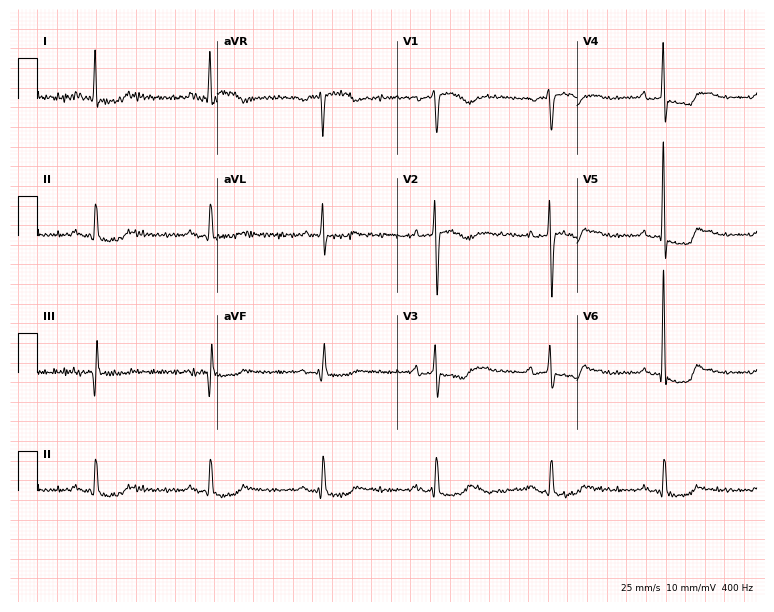
12-lead ECG from a 66-year-old male. No first-degree AV block, right bundle branch block (RBBB), left bundle branch block (LBBB), sinus bradycardia, atrial fibrillation (AF) or sinus tachycardia recorded for this tracing.